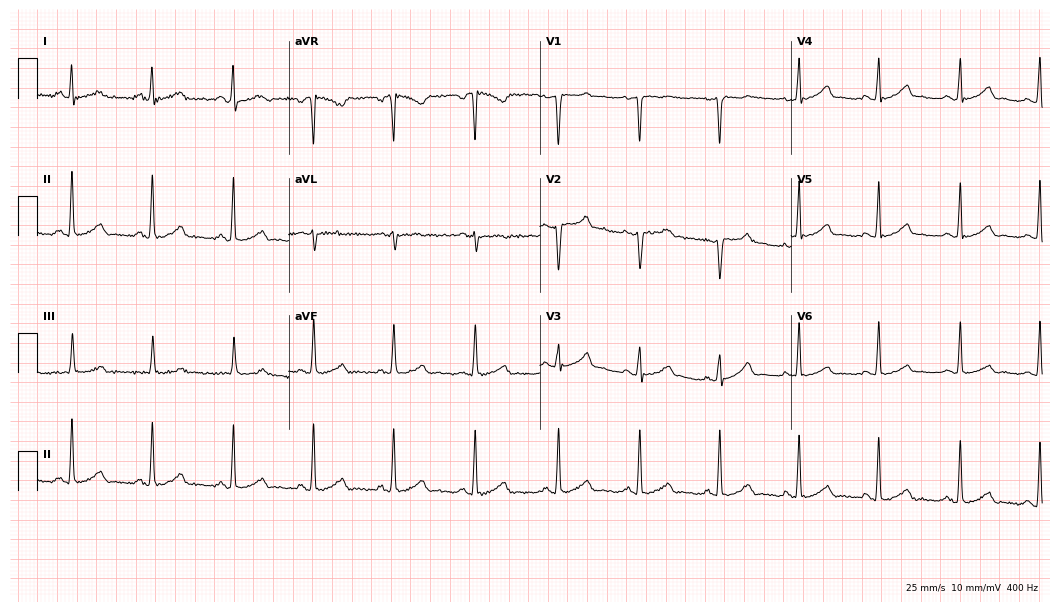
Electrocardiogram (10.2-second recording at 400 Hz), a 37-year-old female patient. Overall reading on record: normal ECG.